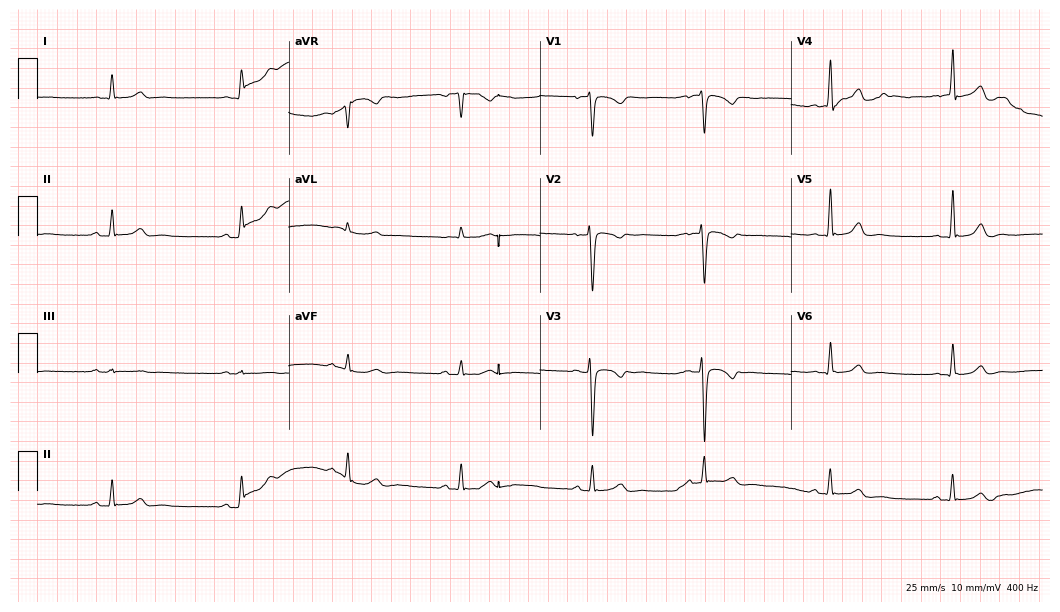
Standard 12-lead ECG recorded from a female patient, 23 years old (10.2-second recording at 400 Hz). The tracing shows sinus bradycardia (a sinus rate of 50 beats per minute or less).